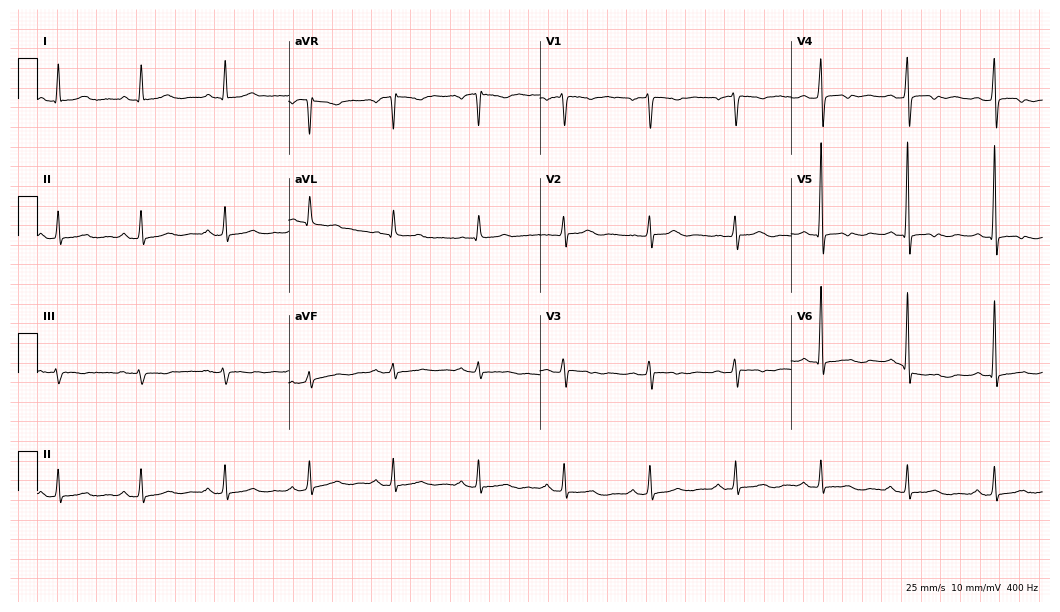
12-lead ECG from a 64-year-old female patient. No first-degree AV block, right bundle branch block, left bundle branch block, sinus bradycardia, atrial fibrillation or sinus tachycardia recorded for this tracing. Only these six findings were labelled.